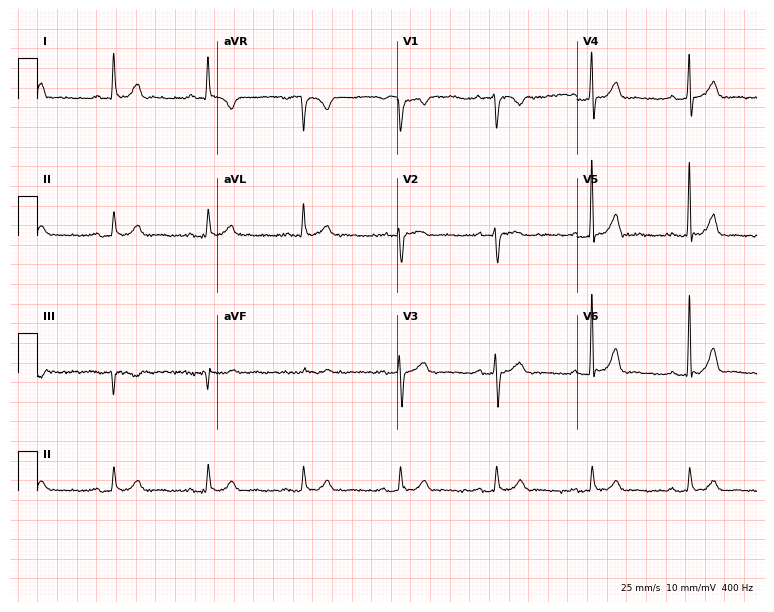
12-lead ECG from a female, 68 years old. Recorded interpretation: within normal limits.